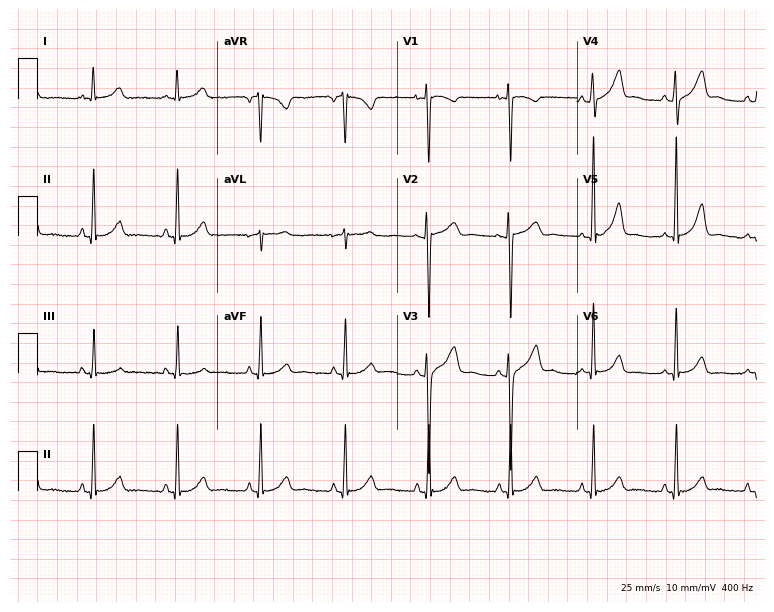
ECG — a female, 24 years old. Labelled as a normal ECG.